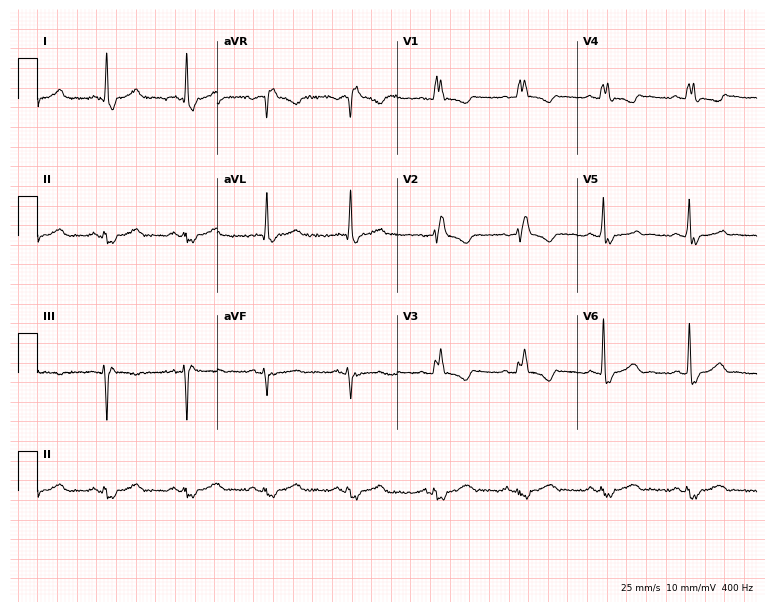
Resting 12-lead electrocardiogram. Patient: a female, 76 years old. The tracing shows right bundle branch block.